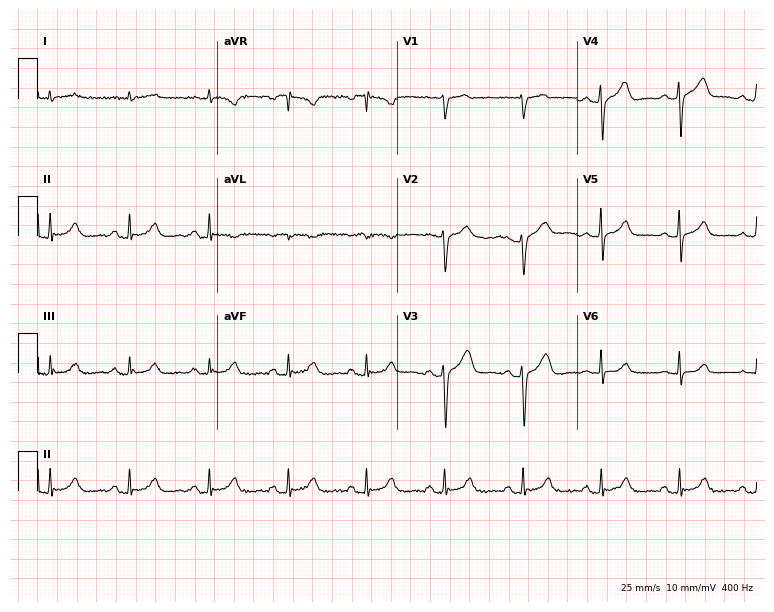
Electrocardiogram (7.3-second recording at 400 Hz), a 68-year-old man. Overall reading on record: normal ECG.